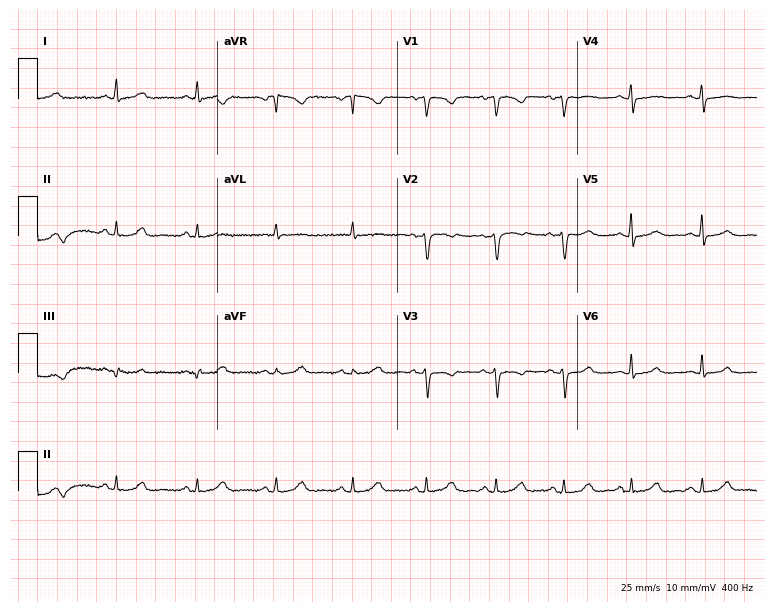
Standard 12-lead ECG recorded from a 38-year-old woman. None of these six findings is recorded: first-degree AV block, right bundle branch block (RBBB), left bundle branch block (LBBB), sinus bradycardia, atrial fibrillation (AF), sinus tachycardia. Findings outside these six are not listed.